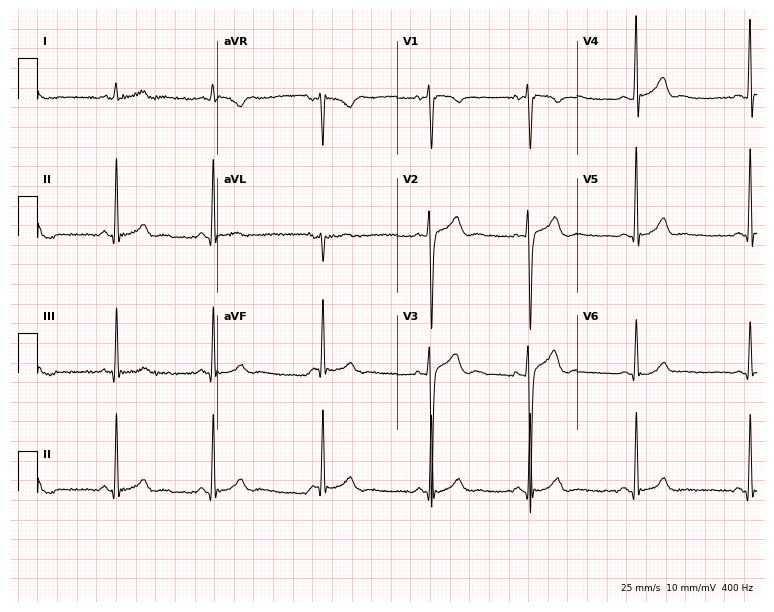
Resting 12-lead electrocardiogram. Patient: a 19-year-old male. Read as a normal ECG.